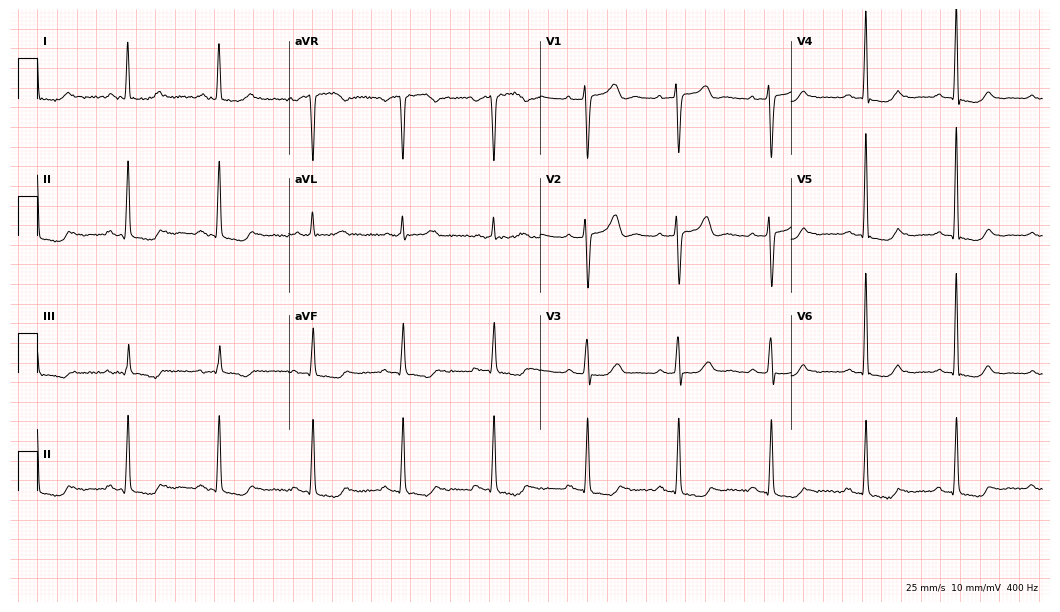
12-lead ECG from a 59-year-old woman. Screened for six findings — first-degree AV block, right bundle branch block, left bundle branch block, sinus bradycardia, atrial fibrillation, sinus tachycardia — none is recorded.